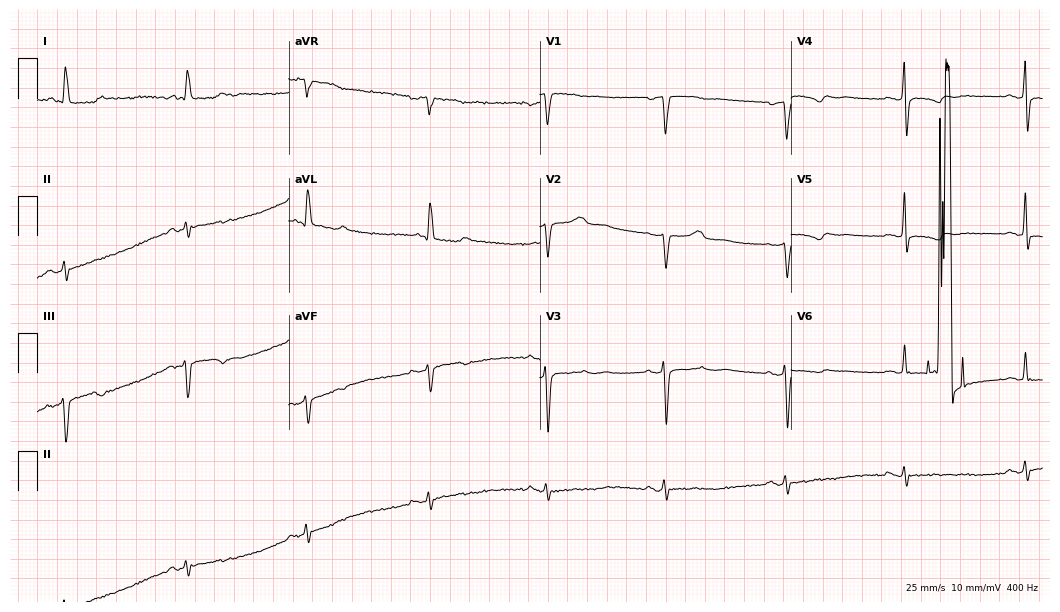
12-lead ECG from a female patient, 62 years old (10.2-second recording at 400 Hz). Shows sinus bradycardia (a sinus rate of 50 beats per minute or less).